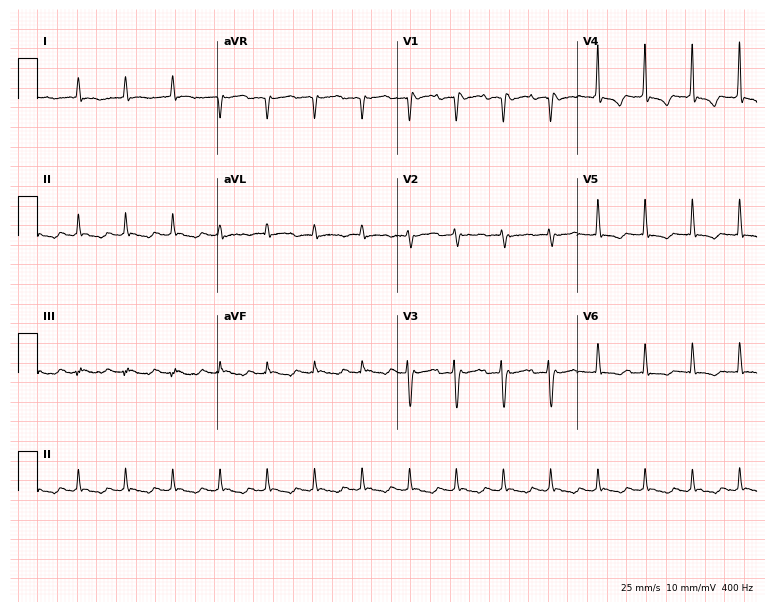
Standard 12-lead ECG recorded from a 69-year-old female (7.3-second recording at 400 Hz). The tracing shows sinus tachycardia (a sinus rate of 100 beats per minute or more).